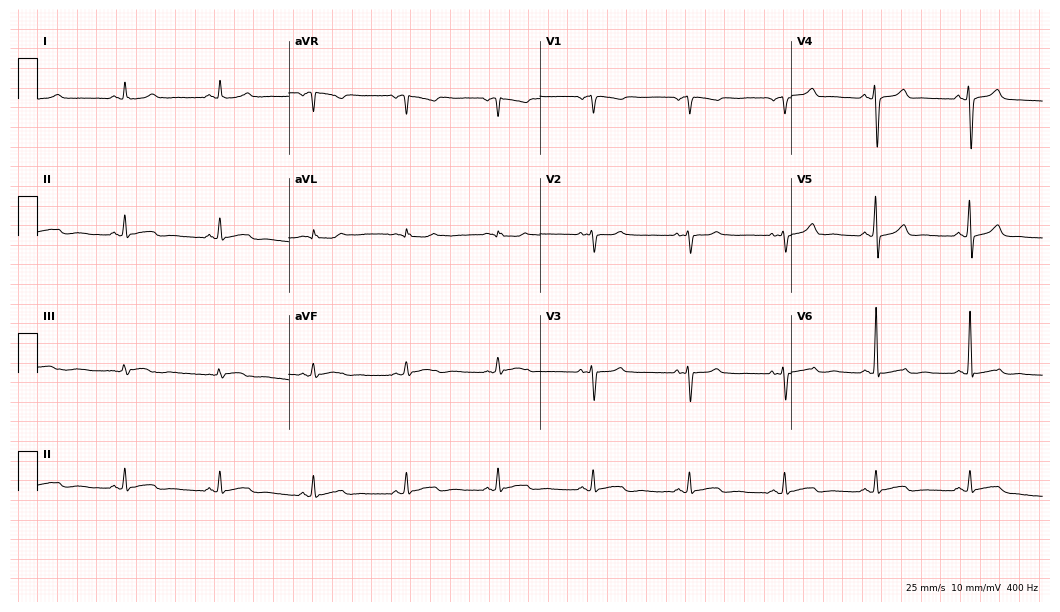
Electrocardiogram, a woman, 49 years old. Of the six screened findings (first-degree AV block, right bundle branch block (RBBB), left bundle branch block (LBBB), sinus bradycardia, atrial fibrillation (AF), sinus tachycardia), none is recorded.